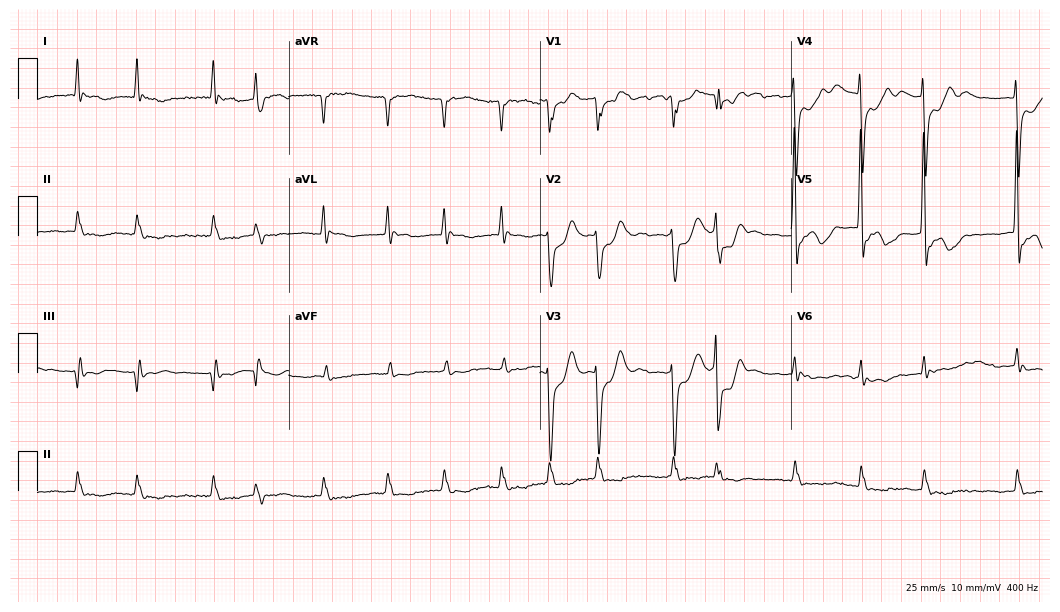
12-lead ECG from a male, 73 years old. Findings include atrial fibrillation.